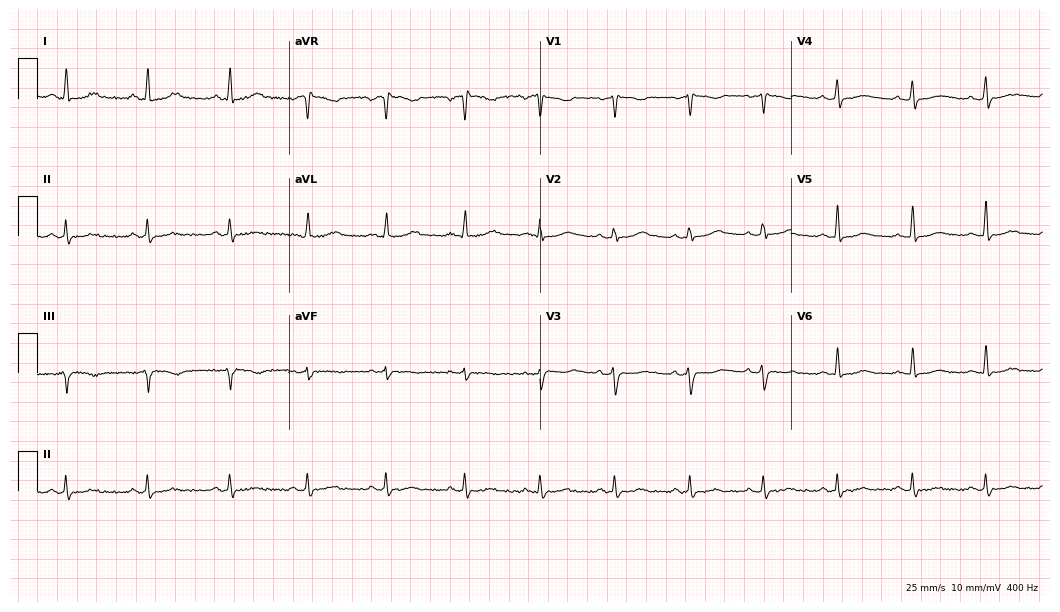
ECG (10.2-second recording at 400 Hz) — a 36-year-old female patient. Screened for six findings — first-degree AV block, right bundle branch block, left bundle branch block, sinus bradycardia, atrial fibrillation, sinus tachycardia — none is recorded. Other findings, if any, are not listed.